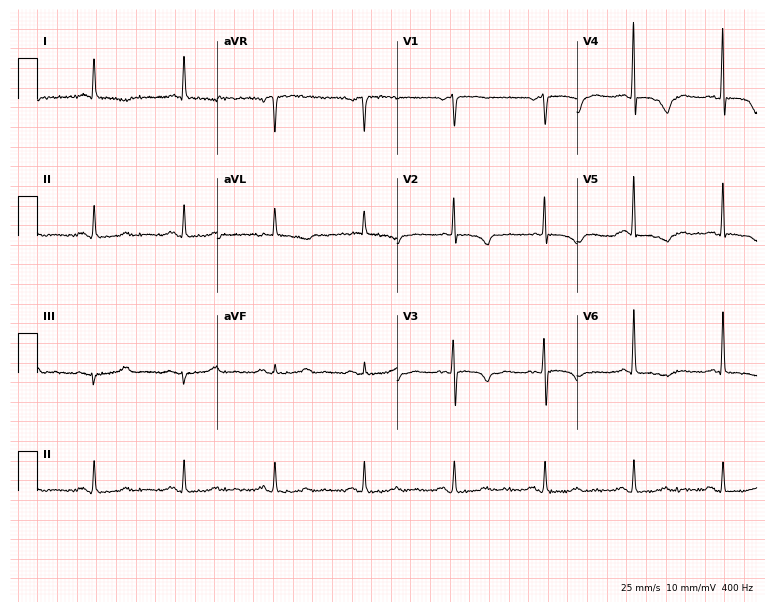
12-lead ECG from a 78-year-old female. Screened for six findings — first-degree AV block, right bundle branch block, left bundle branch block, sinus bradycardia, atrial fibrillation, sinus tachycardia — none is recorded. Other findings, if any, are not listed.